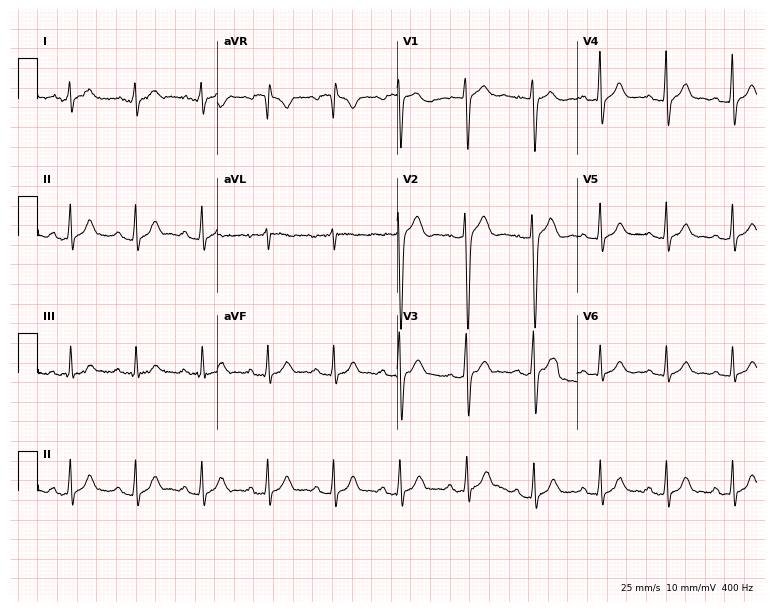
Electrocardiogram (7.3-second recording at 400 Hz), a 42-year-old male patient. Overall reading on record: normal ECG.